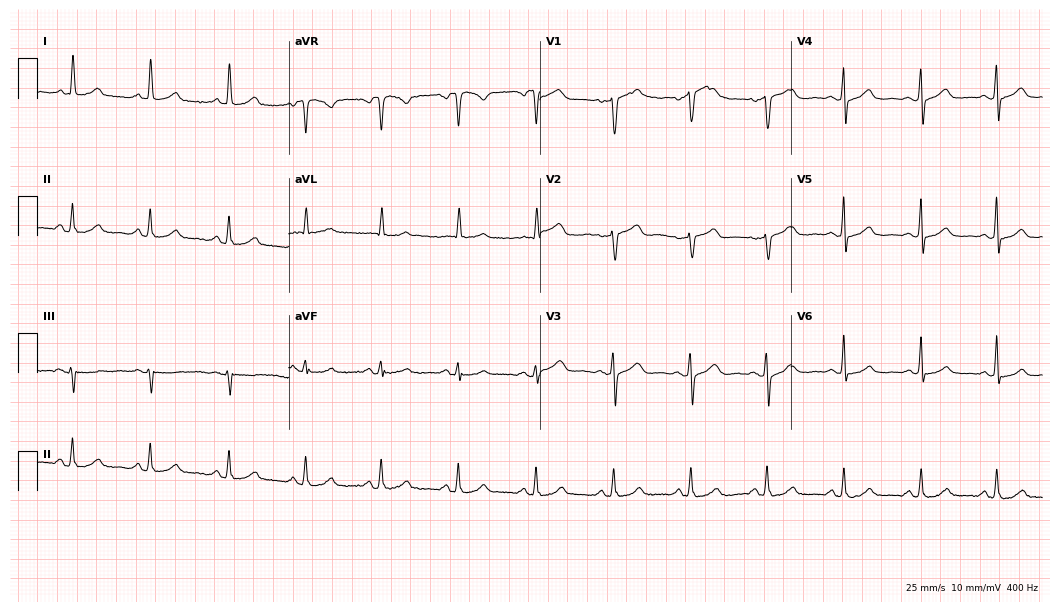
12-lead ECG from a 62-year-old female patient. Recorded interpretation: within normal limits.